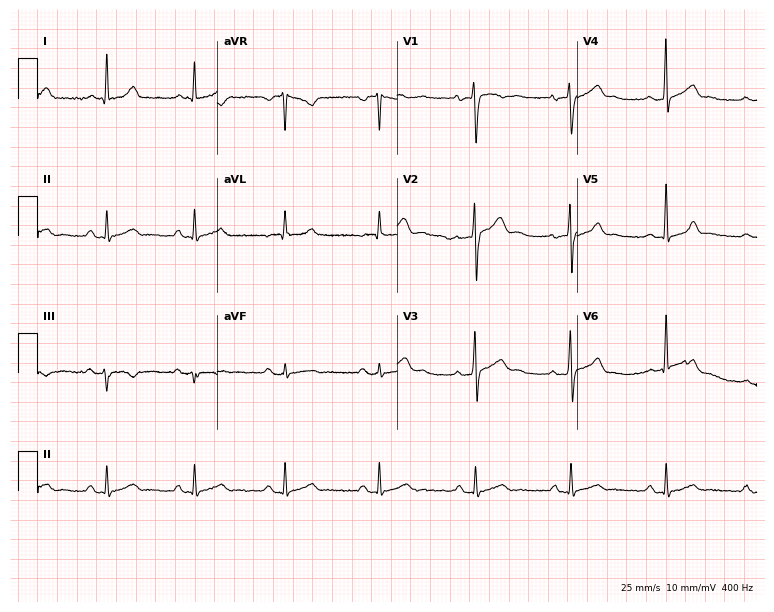
ECG — a 36-year-old male. Labelled as a normal ECG.